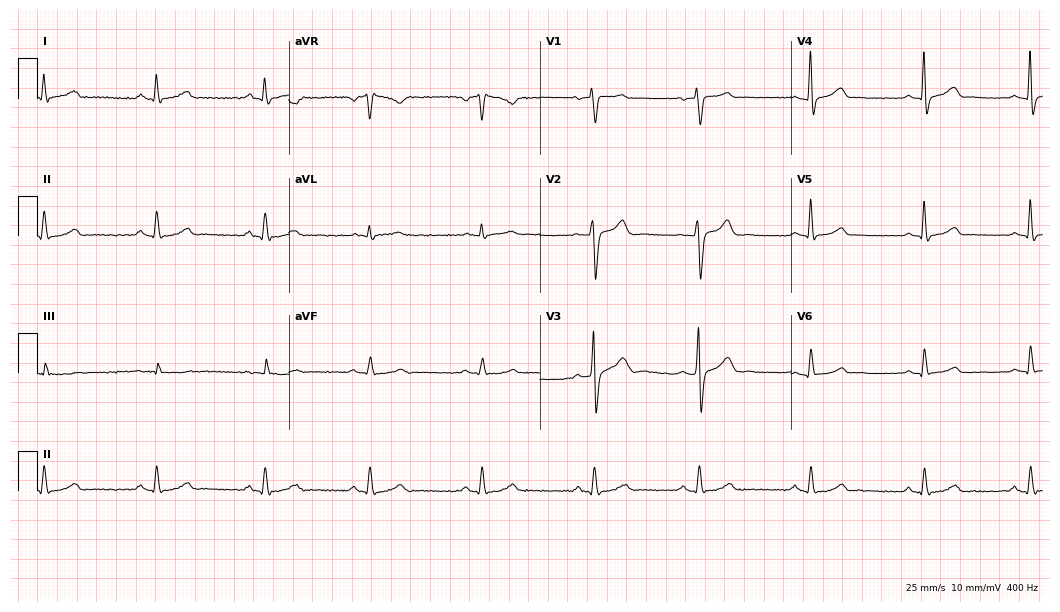
ECG — a 40-year-old male patient. Screened for six findings — first-degree AV block, right bundle branch block (RBBB), left bundle branch block (LBBB), sinus bradycardia, atrial fibrillation (AF), sinus tachycardia — none is recorded. Other findings, if any, are not listed.